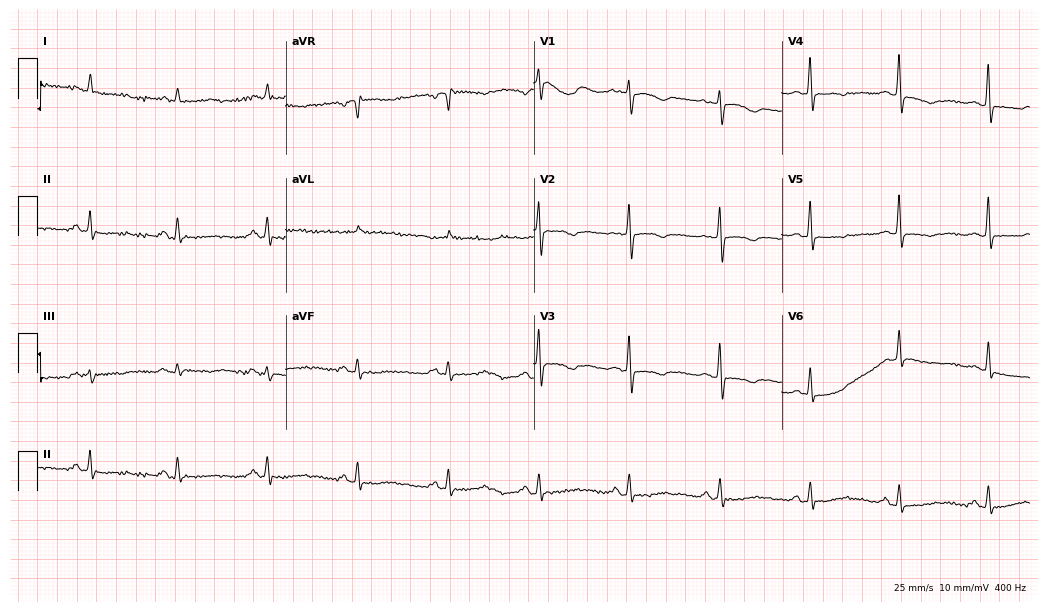
ECG (10.1-second recording at 400 Hz) — a 73-year-old female patient. Screened for six findings — first-degree AV block, right bundle branch block (RBBB), left bundle branch block (LBBB), sinus bradycardia, atrial fibrillation (AF), sinus tachycardia — none is recorded.